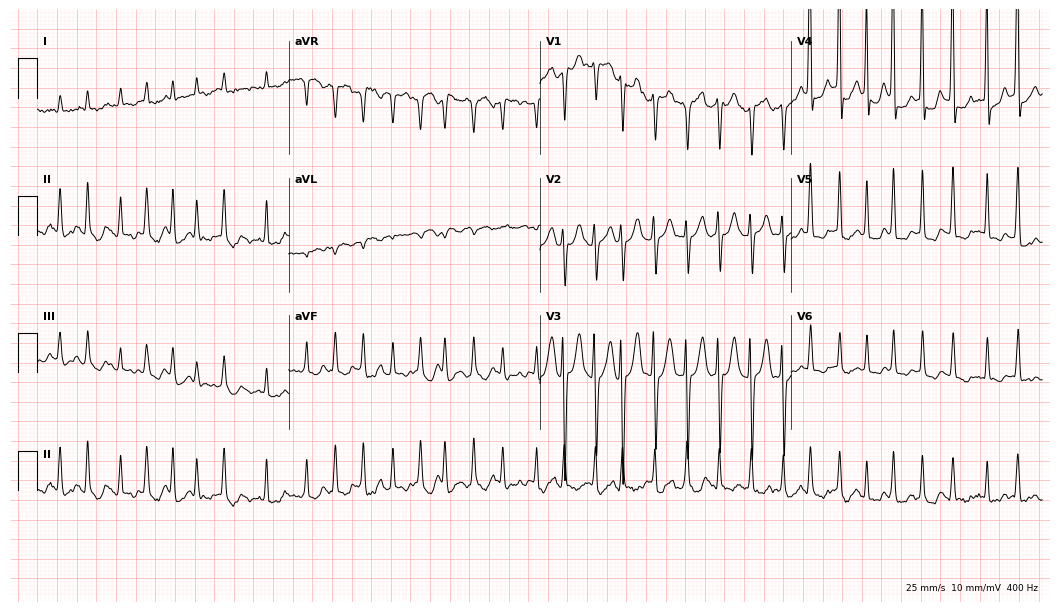
Standard 12-lead ECG recorded from an 84-year-old man (10.2-second recording at 400 Hz). The tracing shows atrial fibrillation.